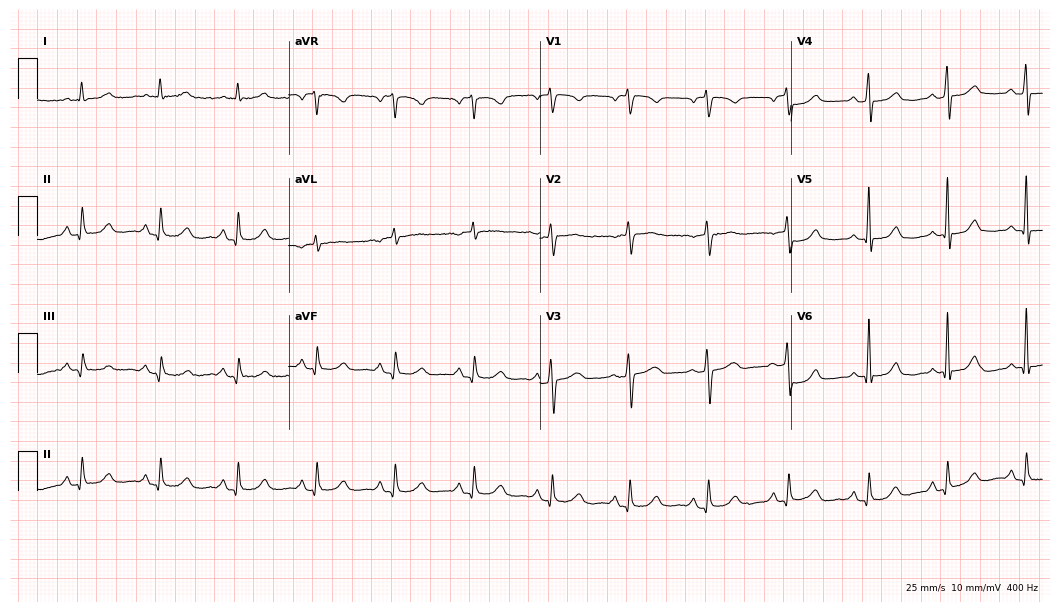
Standard 12-lead ECG recorded from a 68-year-old female patient (10.2-second recording at 400 Hz). None of these six findings is recorded: first-degree AV block, right bundle branch block (RBBB), left bundle branch block (LBBB), sinus bradycardia, atrial fibrillation (AF), sinus tachycardia. Other findings, if any, are not listed.